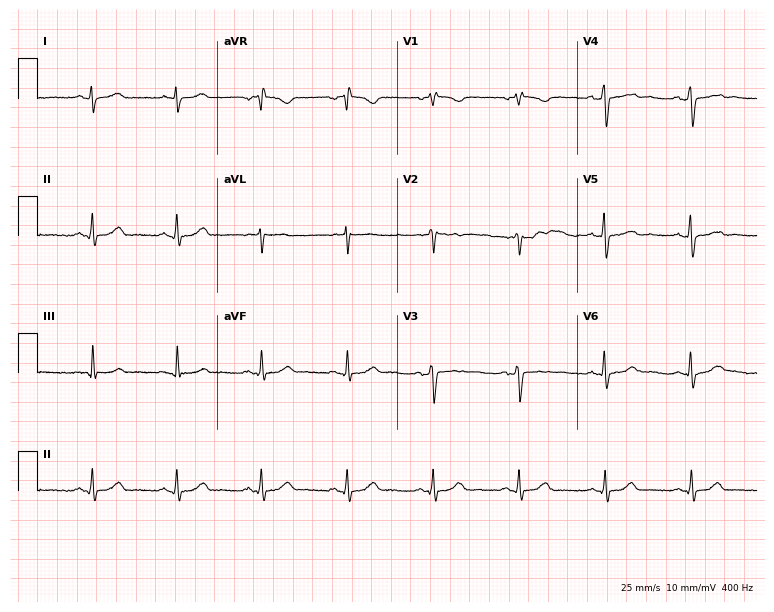
Standard 12-lead ECG recorded from a 63-year-old man. None of these six findings is recorded: first-degree AV block, right bundle branch block, left bundle branch block, sinus bradycardia, atrial fibrillation, sinus tachycardia.